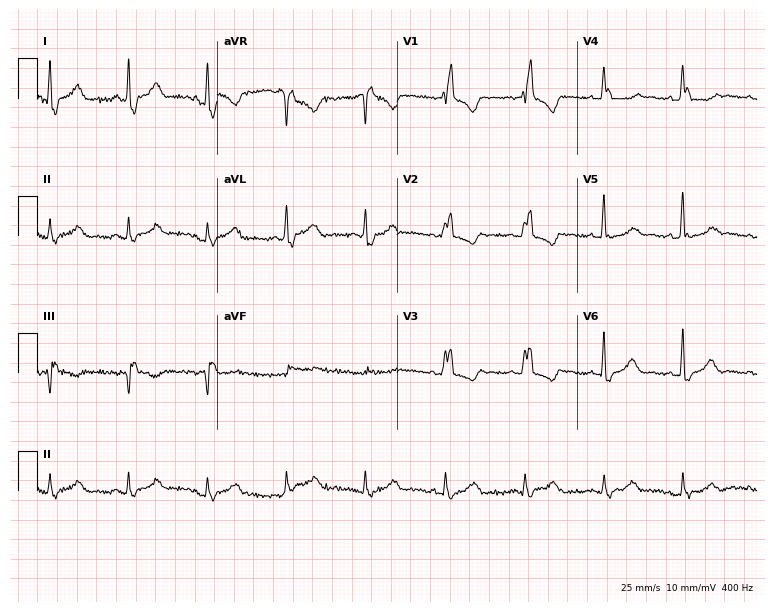
ECG (7.3-second recording at 400 Hz) — a female patient, 73 years old. Findings include right bundle branch block (RBBB).